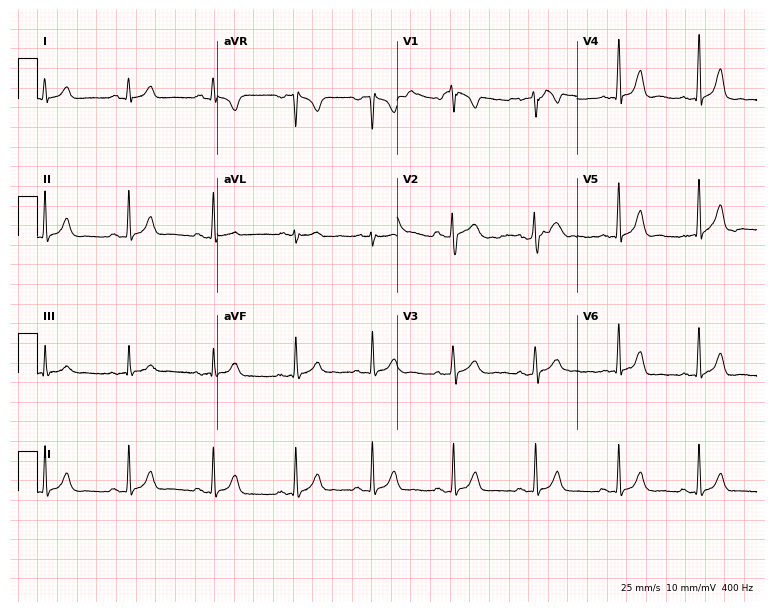
Electrocardiogram (7.3-second recording at 400 Hz), a female, 21 years old. Of the six screened findings (first-degree AV block, right bundle branch block, left bundle branch block, sinus bradycardia, atrial fibrillation, sinus tachycardia), none is recorded. Other findings, if any, are not listed.